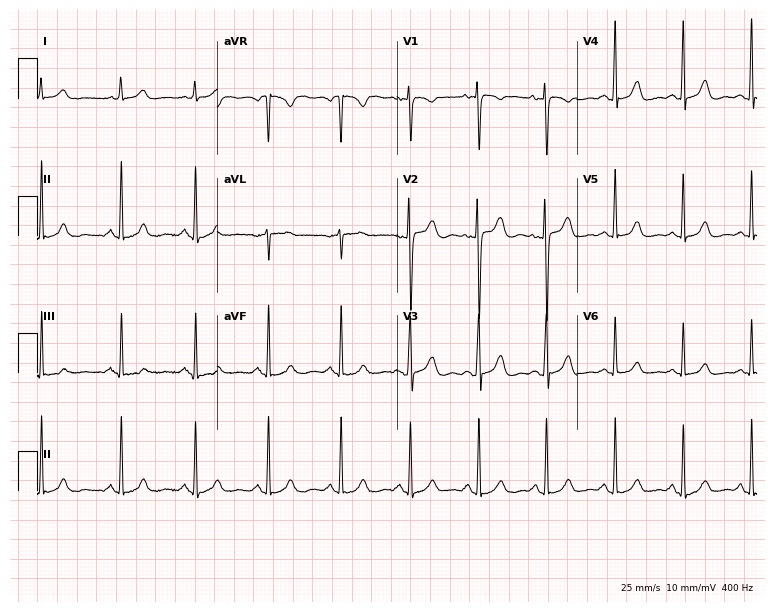
Resting 12-lead electrocardiogram (7.3-second recording at 400 Hz). Patient: a 30-year-old female. None of these six findings is recorded: first-degree AV block, right bundle branch block (RBBB), left bundle branch block (LBBB), sinus bradycardia, atrial fibrillation (AF), sinus tachycardia.